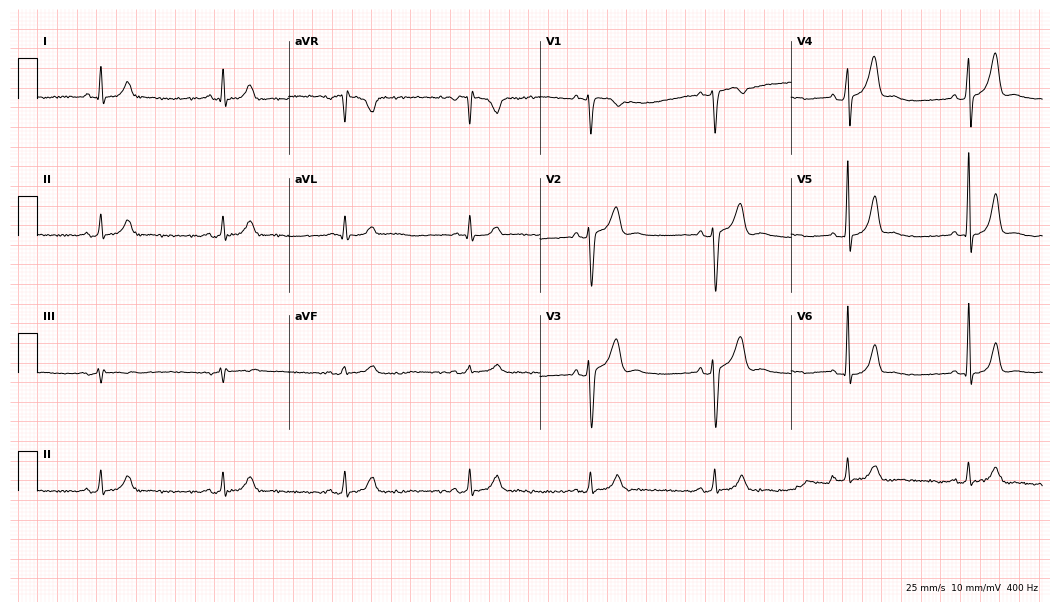
12-lead ECG from a man, 34 years old. No first-degree AV block, right bundle branch block, left bundle branch block, sinus bradycardia, atrial fibrillation or sinus tachycardia recorded for this tracing. Only these six findings were labelled.